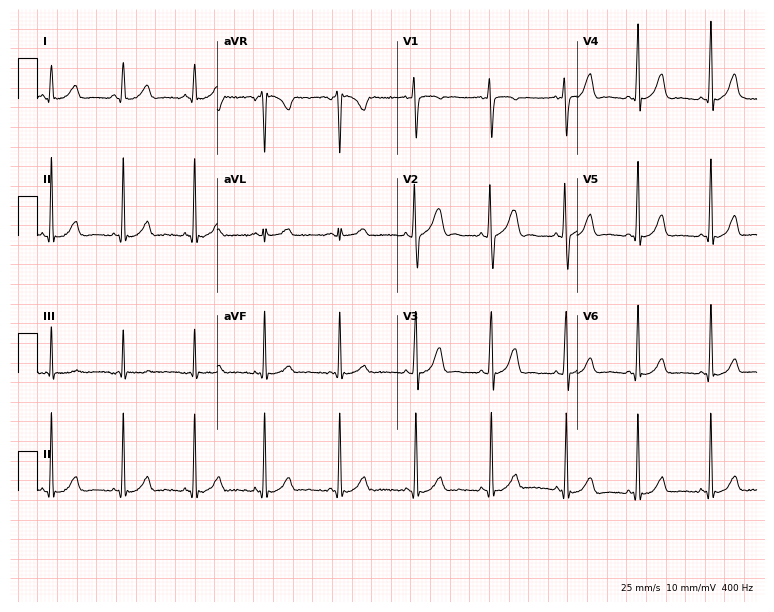
Standard 12-lead ECG recorded from a female patient, 19 years old. Read as a normal ECG.